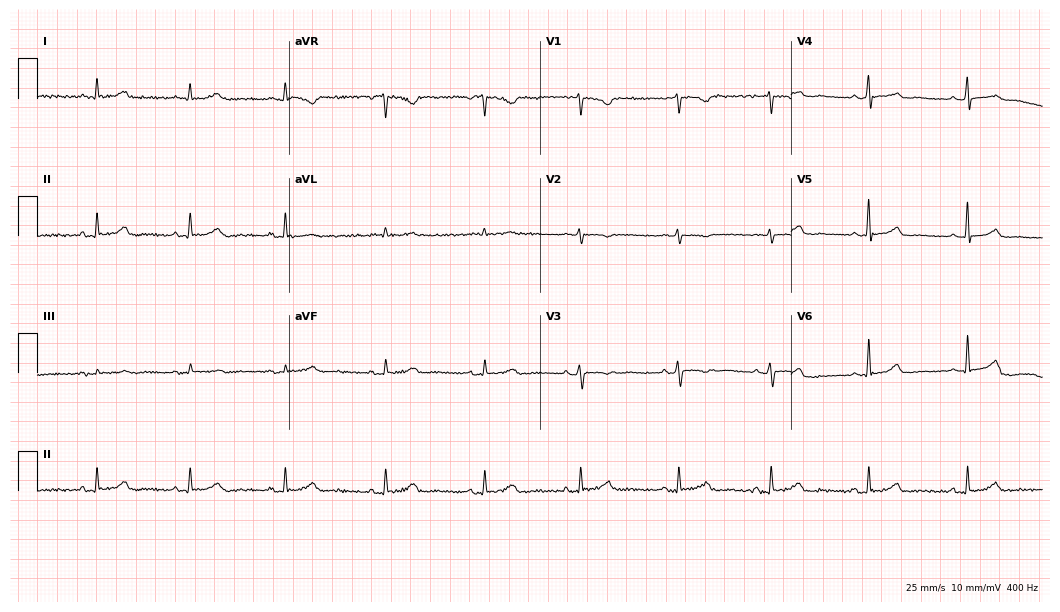
Standard 12-lead ECG recorded from a 51-year-old female patient. Read as a normal ECG.